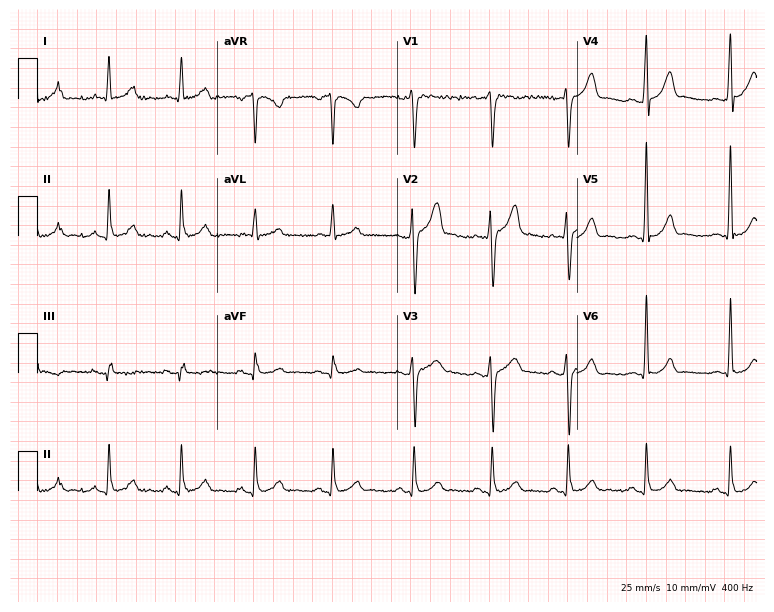
12-lead ECG from a male, 28 years old. Labelled as a normal ECG.